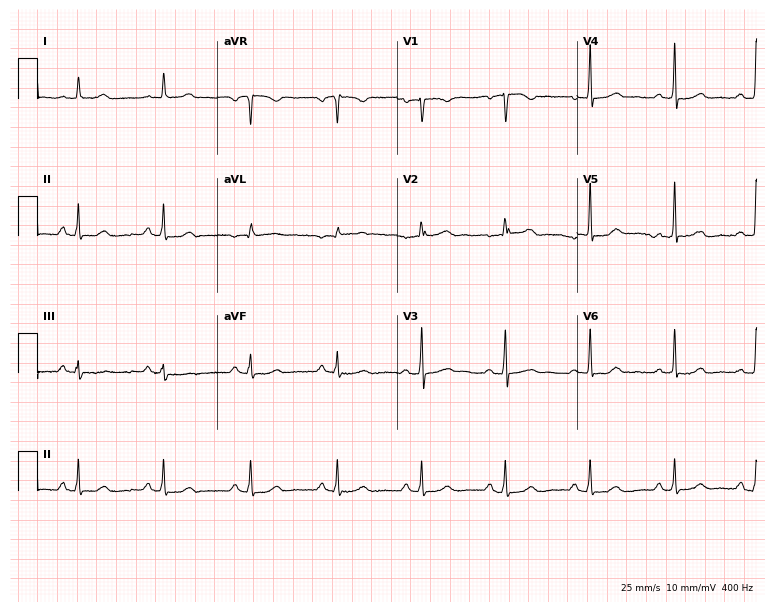
12-lead ECG from a 49-year-old female (7.3-second recording at 400 Hz). Recorded interpretation: within normal limits.